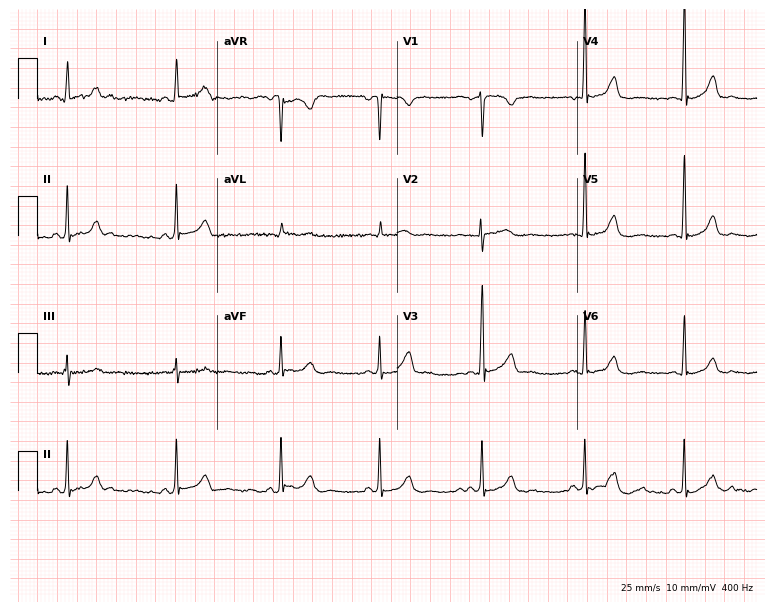
12-lead ECG from a 24-year-old female patient. Recorded interpretation: within normal limits.